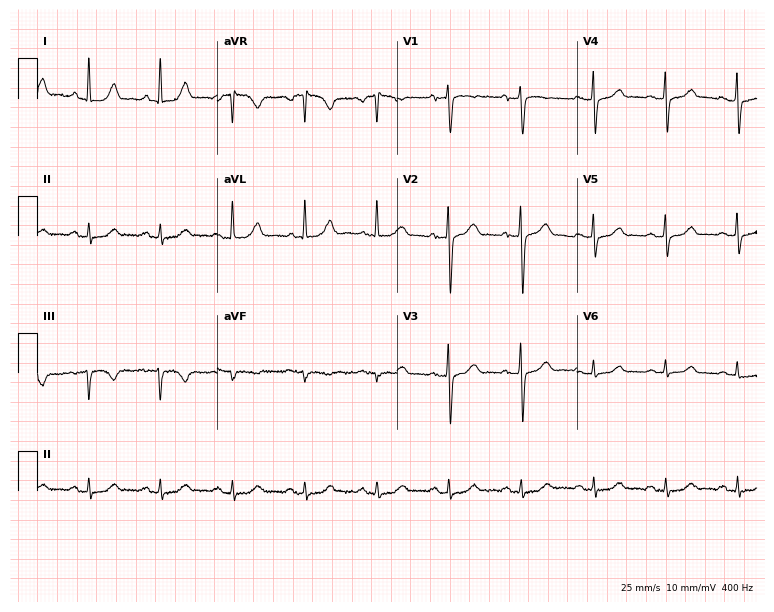
12-lead ECG (7.3-second recording at 400 Hz) from a female patient, 72 years old. Screened for six findings — first-degree AV block, right bundle branch block, left bundle branch block, sinus bradycardia, atrial fibrillation, sinus tachycardia — none is recorded. Findings outside these six are not listed.